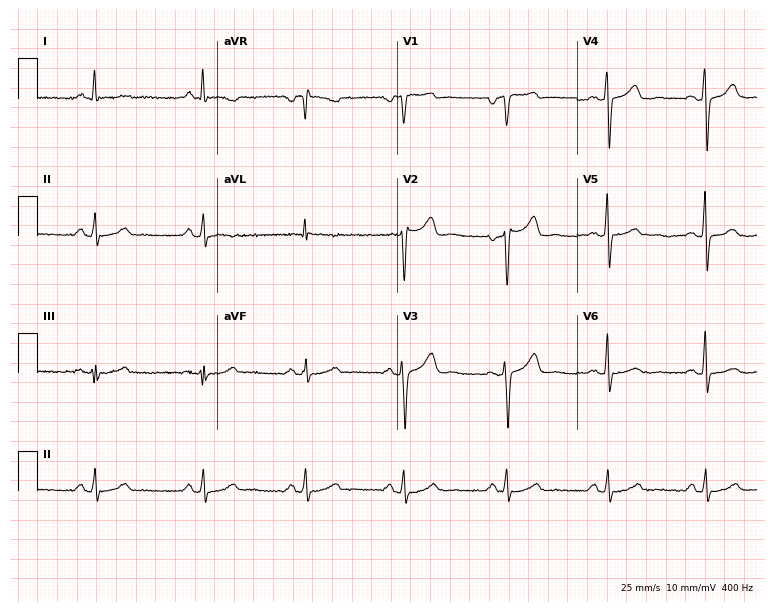
Electrocardiogram, a male patient, 50 years old. Overall reading on record: normal ECG.